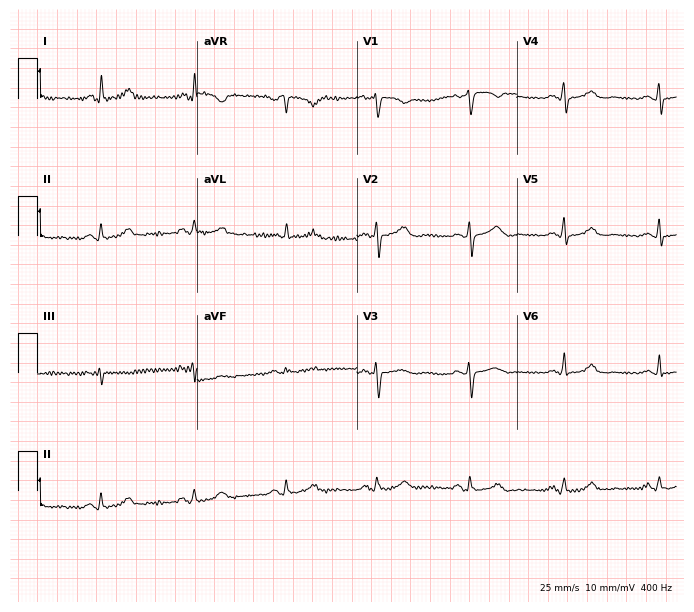
ECG — a female, 45 years old. Labelled as a normal ECG.